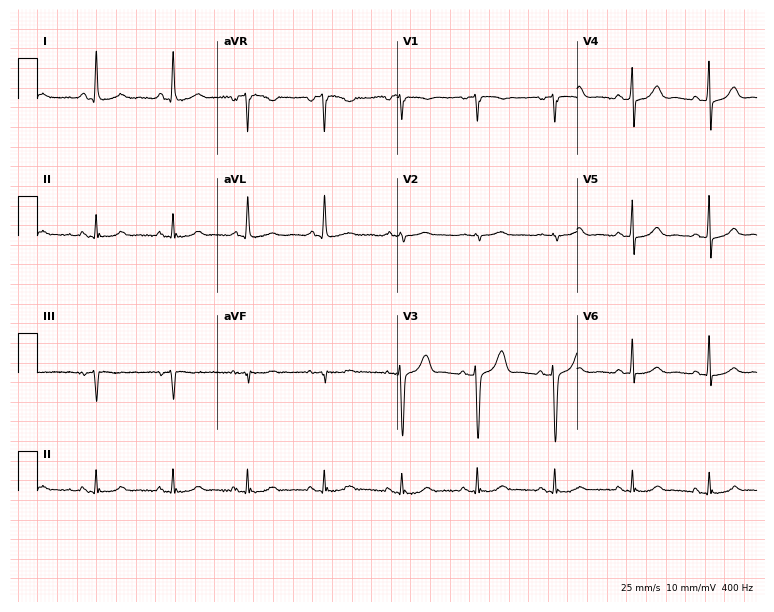
Resting 12-lead electrocardiogram (7.3-second recording at 400 Hz). Patient: a 55-year-old female. Read as a normal ECG.